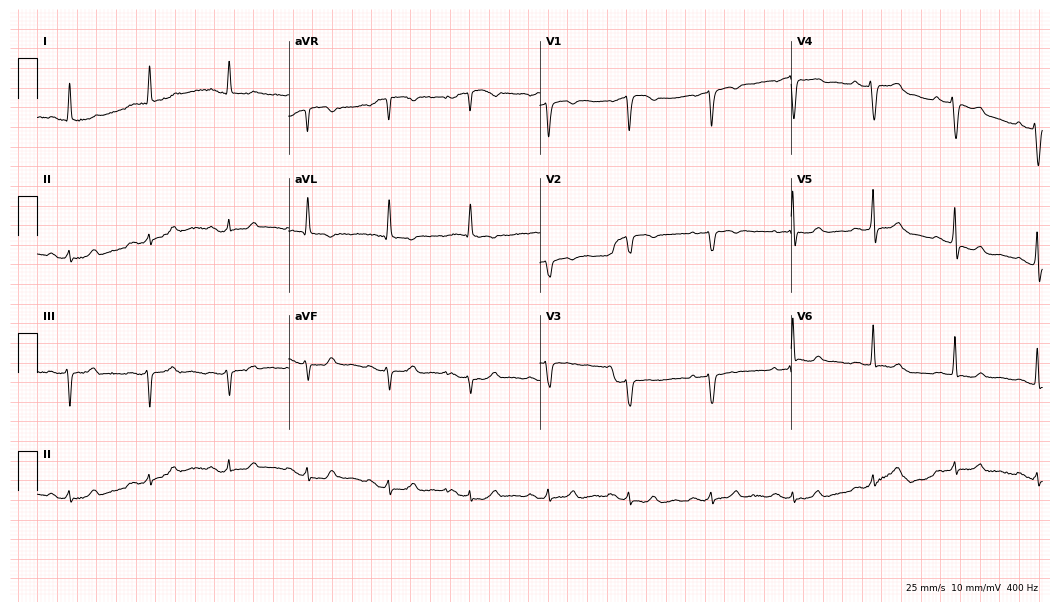
Standard 12-lead ECG recorded from a 79-year-old male. None of these six findings is recorded: first-degree AV block, right bundle branch block, left bundle branch block, sinus bradycardia, atrial fibrillation, sinus tachycardia.